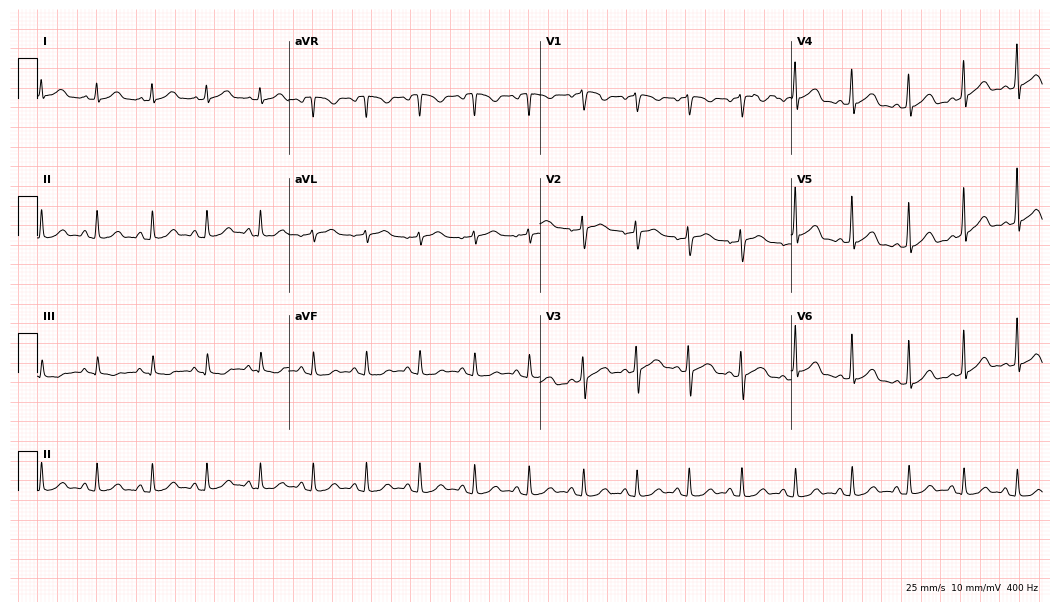
Standard 12-lead ECG recorded from a 29-year-old woman. The tracing shows sinus tachycardia (a sinus rate of 100 beats per minute or more).